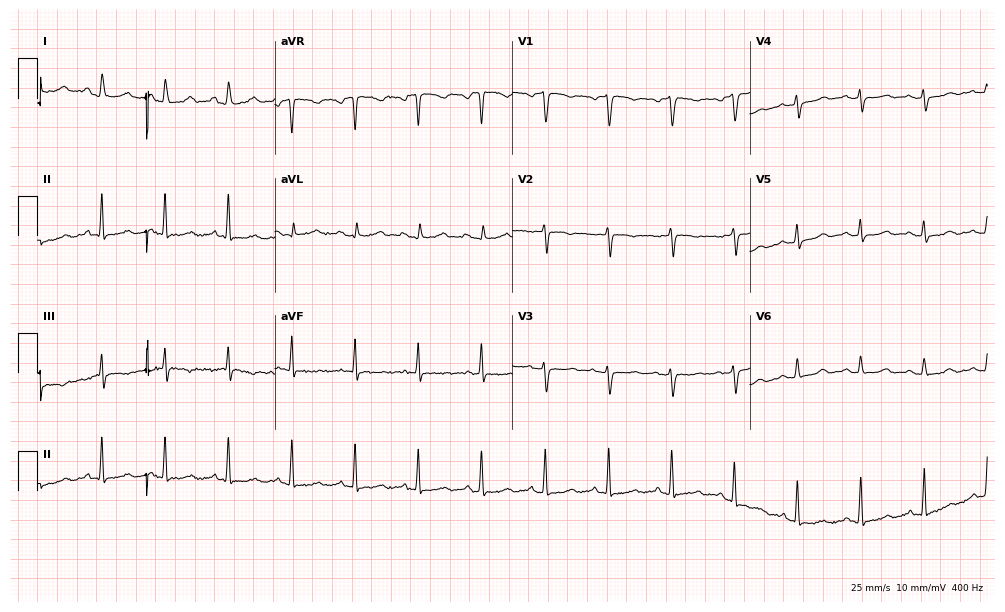
ECG (9.7-second recording at 400 Hz) — a female patient, 71 years old. Screened for six findings — first-degree AV block, right bundle branch block (RBBB), left bundle branch block (LBBB), sinus bradycardia, atrial fibrillation (AF), sinus tachycardia — none is recorded.